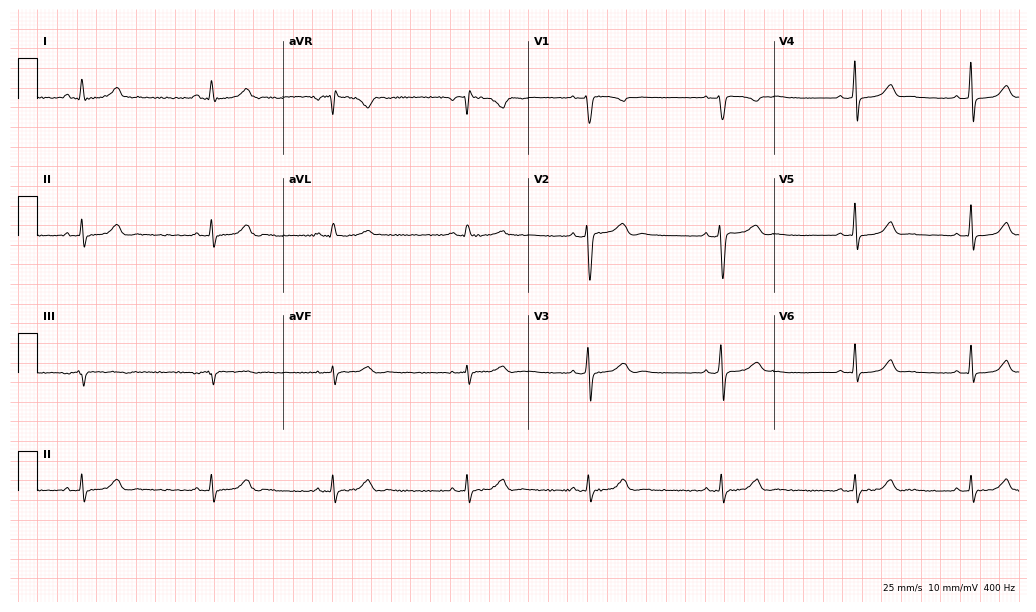
Electrocardiogram, a 40-year-old woman. Interpretation includes sinus bradycardia (a sinus rate of 50 beats per minute or less).